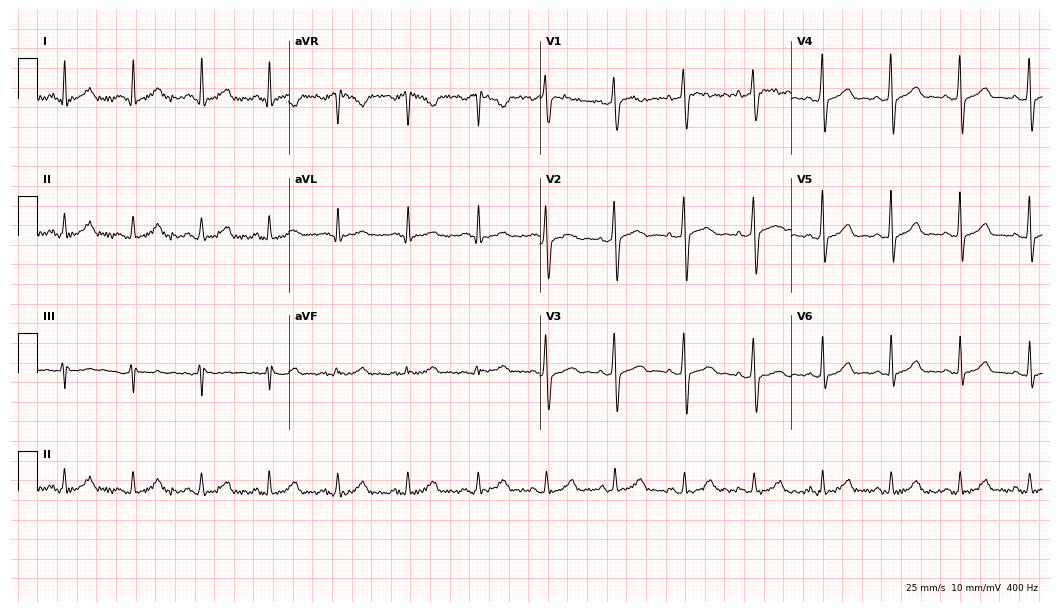
Resting 12-lead electrocardiogram (10.2-second recording at 400 Hz). Patient: a 49-year-old woman. Read as a normal ECG.